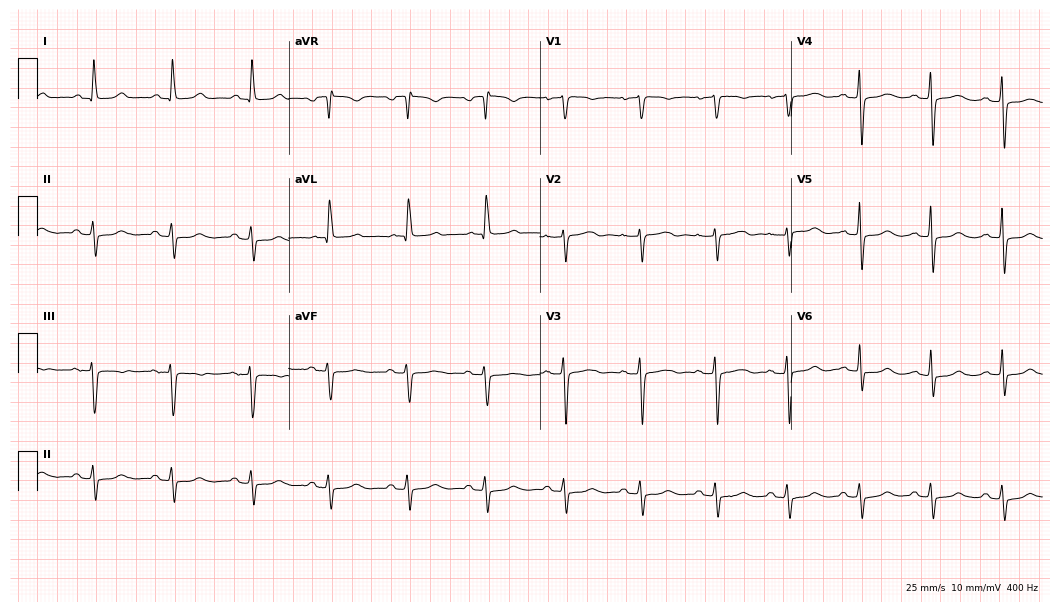
12-lead ECG from a female patient, 69 years old. Screened for six findings — first-degree AV block, right bundle branch block, left bundle branch block, sinus bradycardia, atrial fibrillation, sinus tachycardia — none is recorded.